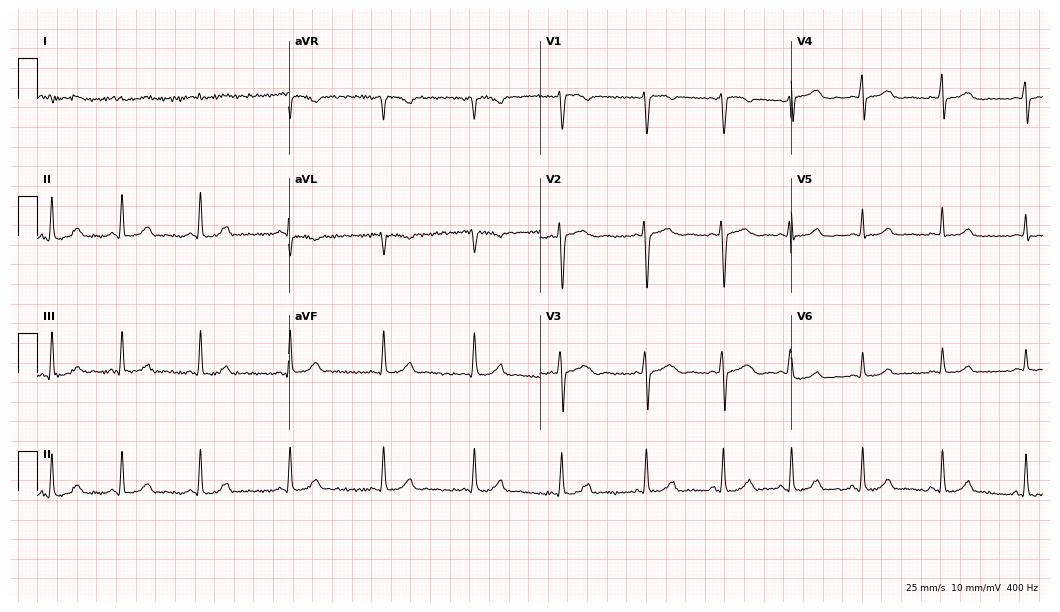
12-lead ECG from a 23-year-old woman (10.2-second recording at 400 Hz). Shows atrial fibrillation.